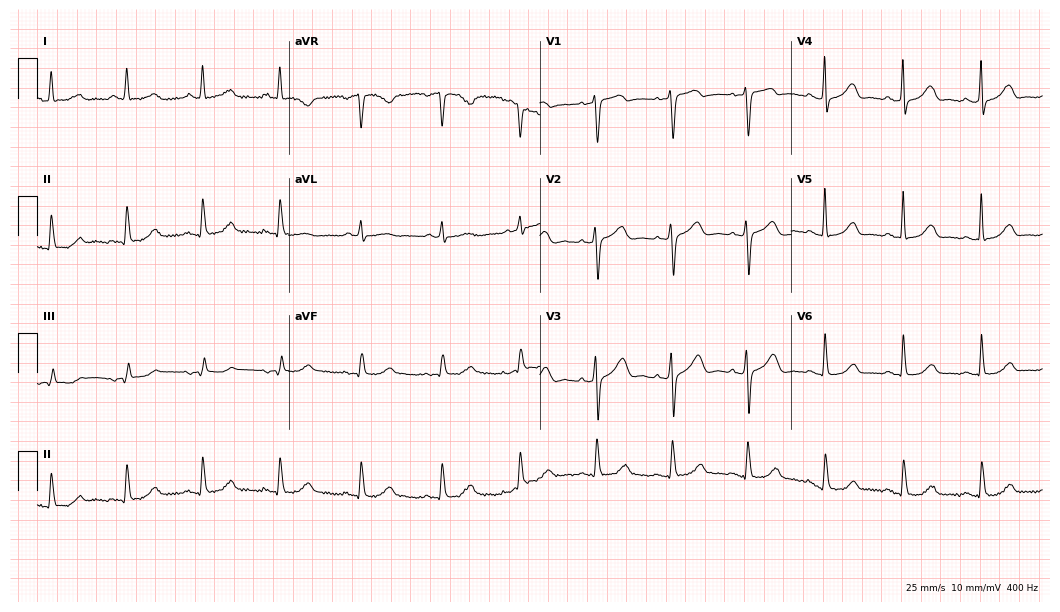
12-lead ECG from a female patient, 67 years old. Labelled as a normal ECG.